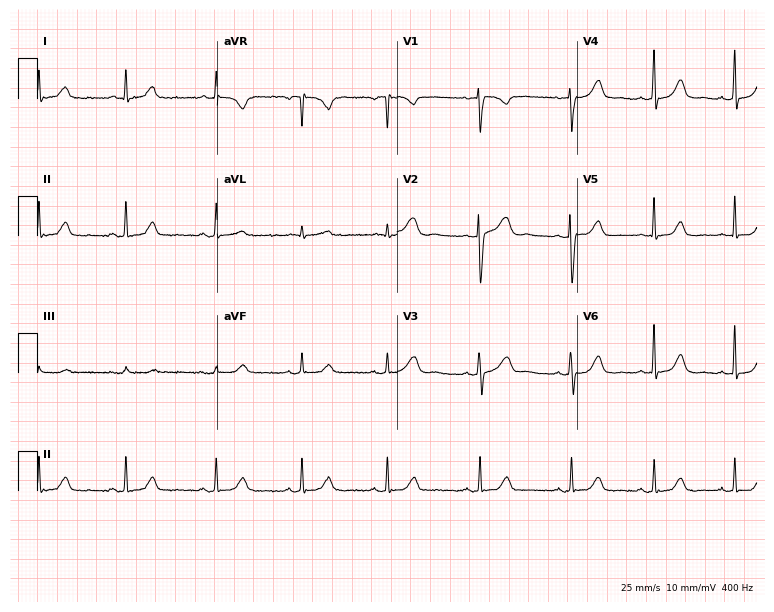
12-lead ECG from a female, 56 years old (7.3-second recording at 400 Hz). Recorded interpretation: within normal limits.